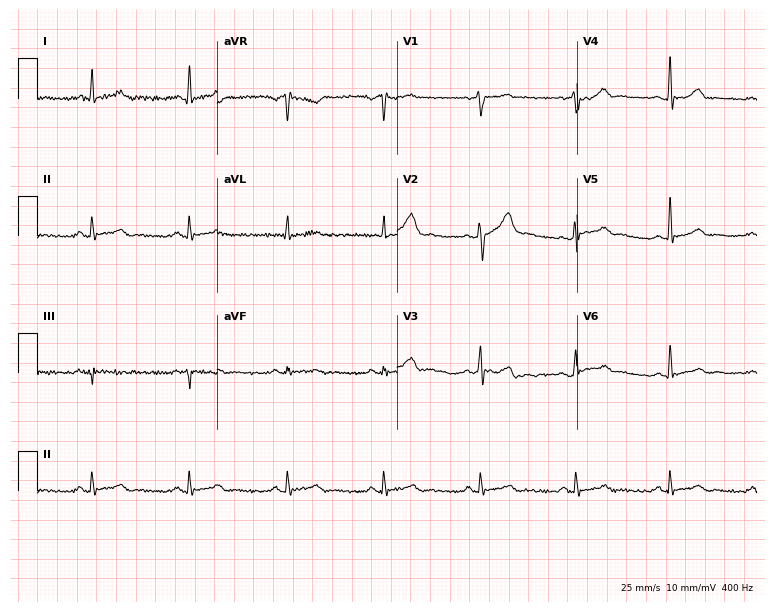
Standard 12-lead ECG recorded from a man, 33 years old. Read as a normal ECG.